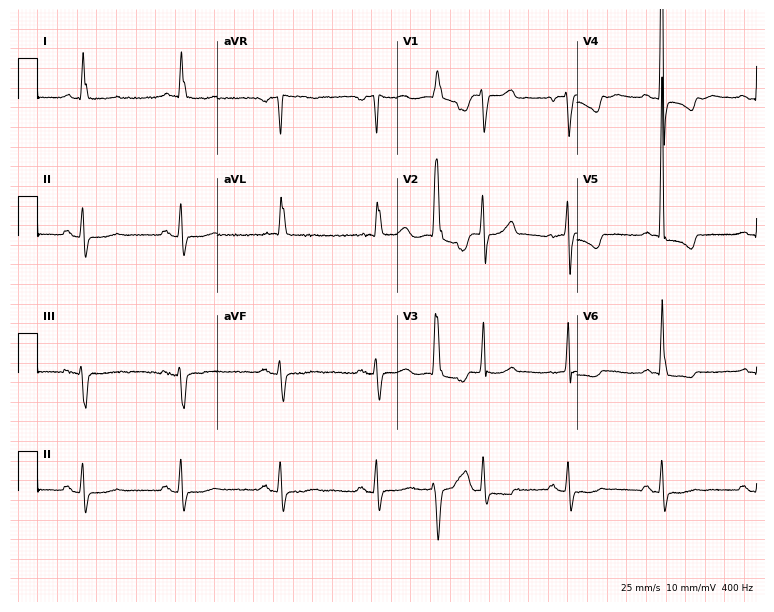
Standard 12-lead ECG recorded from a female patient, 83 years old (7.3-second recording at 400 Hz). None of these six findings is recorded: first-degree AV block, right bundle branch block (RBBB), left bundle branch block (LBBB), sinus bradycardia, atrial fibrillation (AF), sinus tachycardia.